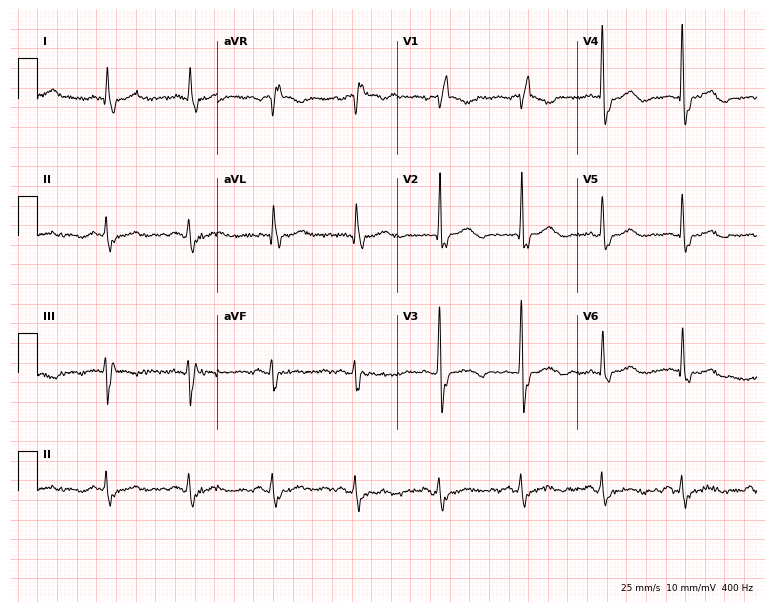
ECG — a female, 81 years old. Findings include right bundle branch block.